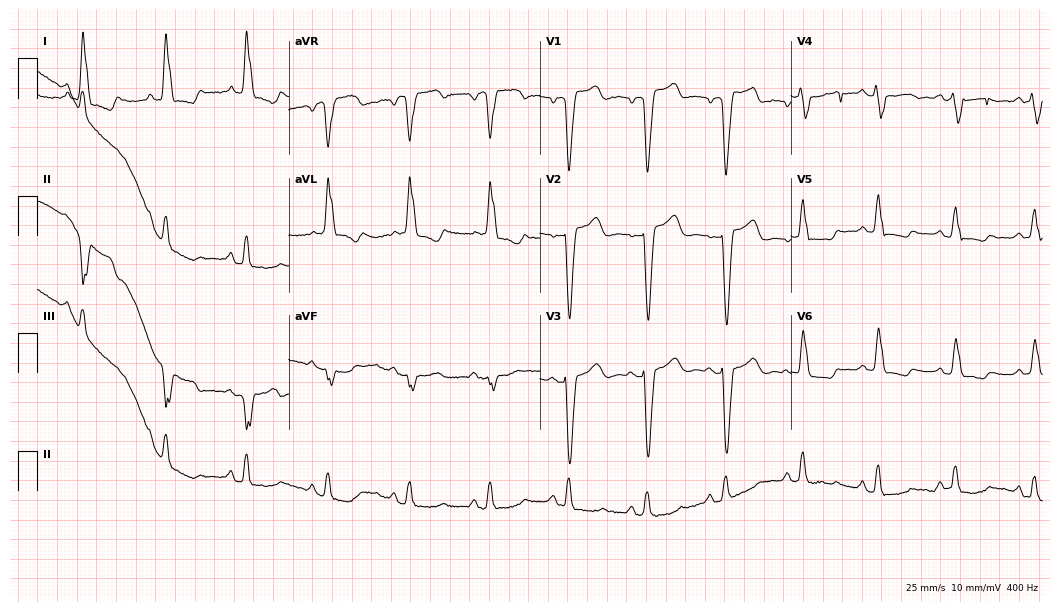
Standard 12-lead ECG recorded from a female, 65 years old (10.2-second recording at 400 Hz). The tracing shows left bundle branch block.